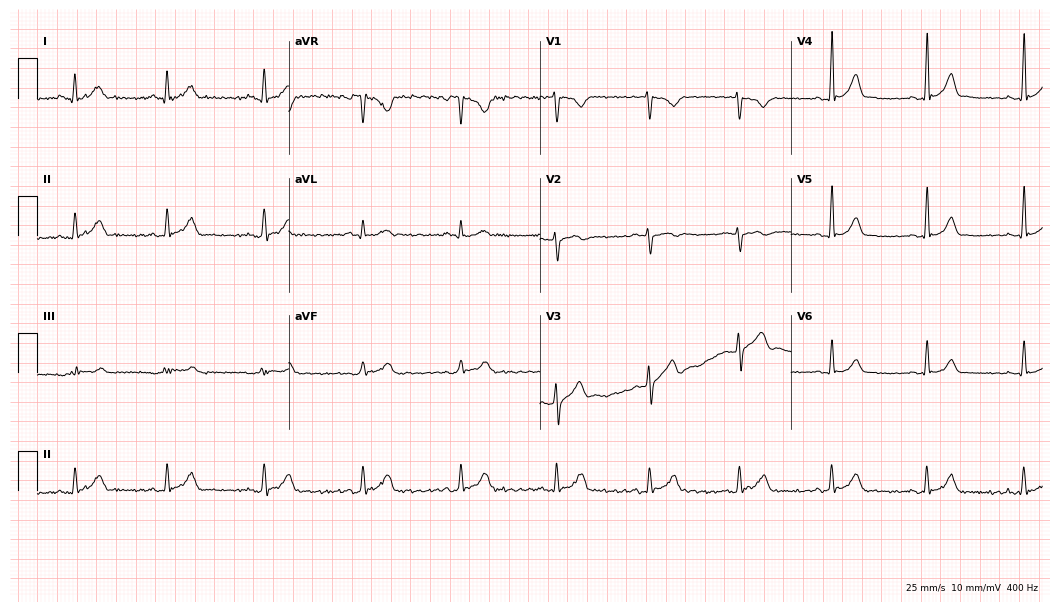
12-lead ECG from a 26-year-old male patient. Screened for six findings — first-degree AV block, right bundle branch block, left bundle branch block, sinus bradycardia, atrial fibrillation, sinus tachycardia — none is recorded.